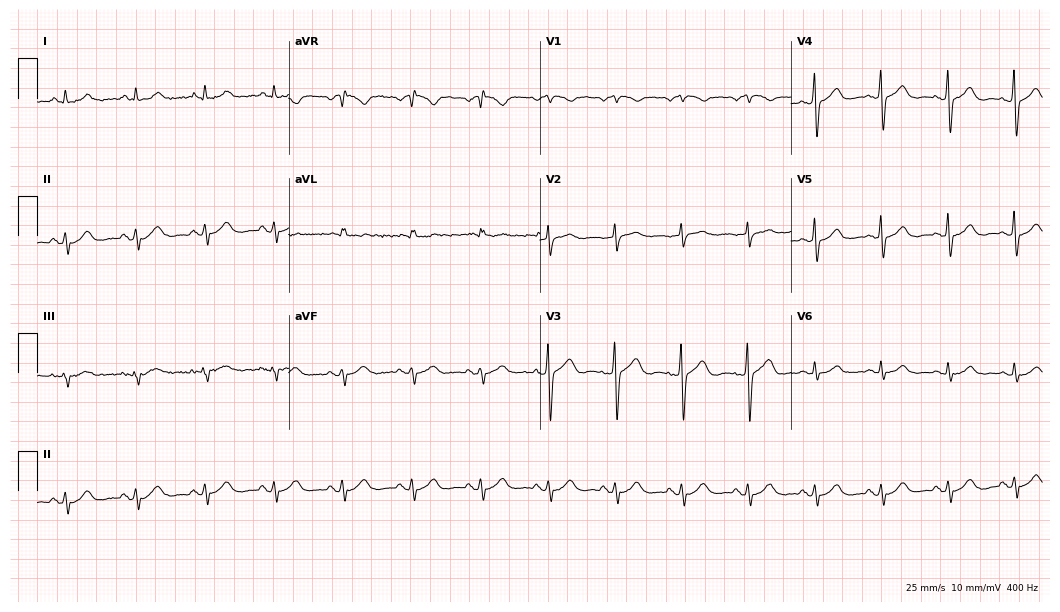
12-lead ECG from a 70-year-old female patient. Recorded interpretation: within normal limits.